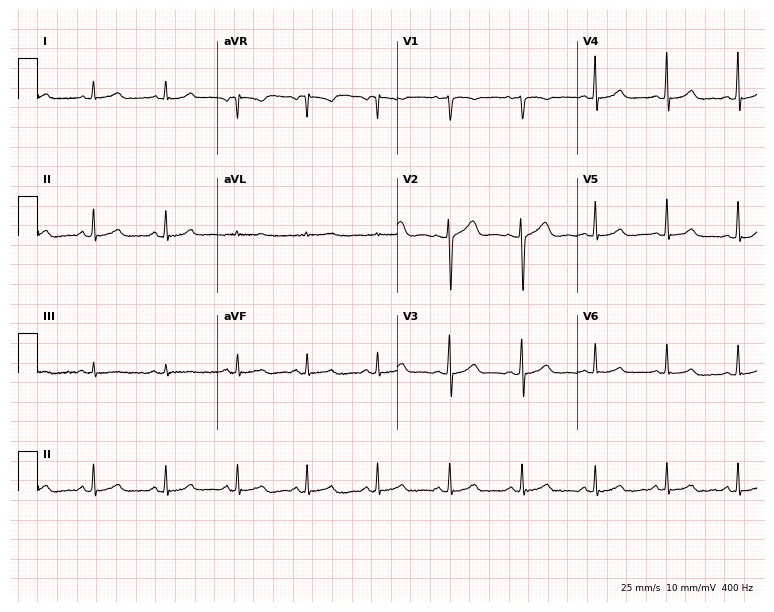
12-lead ECG from a female patient, 43 years old. Screened for six findings — first-degree AV block, right bundle branch block, left bundle branch block, sinus bradycardia, atrial fibrillation, sinus tachycardia — none is recorded.